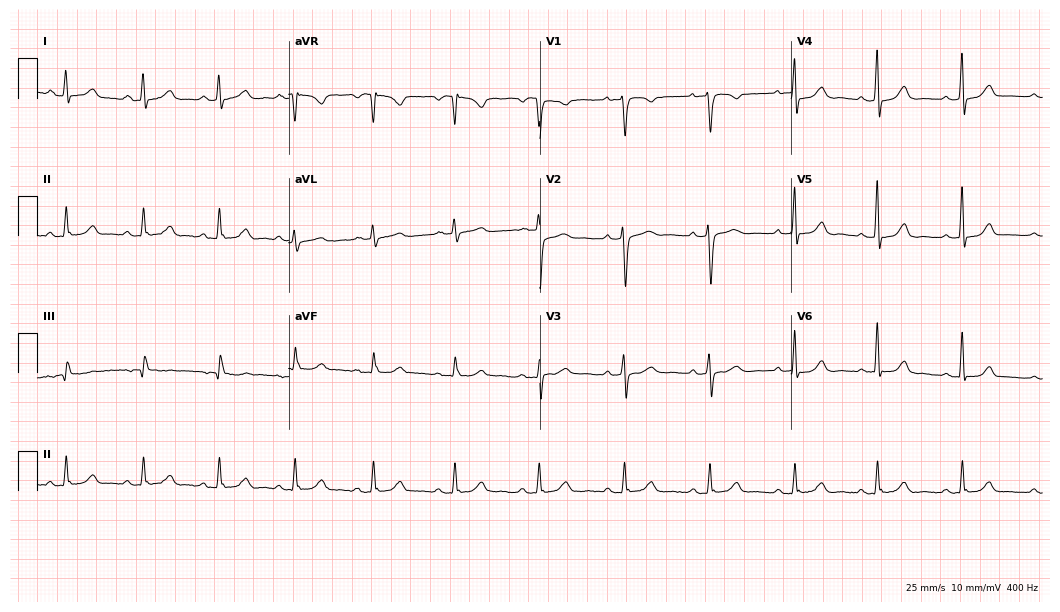
Resting 12-lead electrocardiogram (10.2-second recording at 400 Hz). Patient: a 41-year-old woman. Read as a normal ECG.